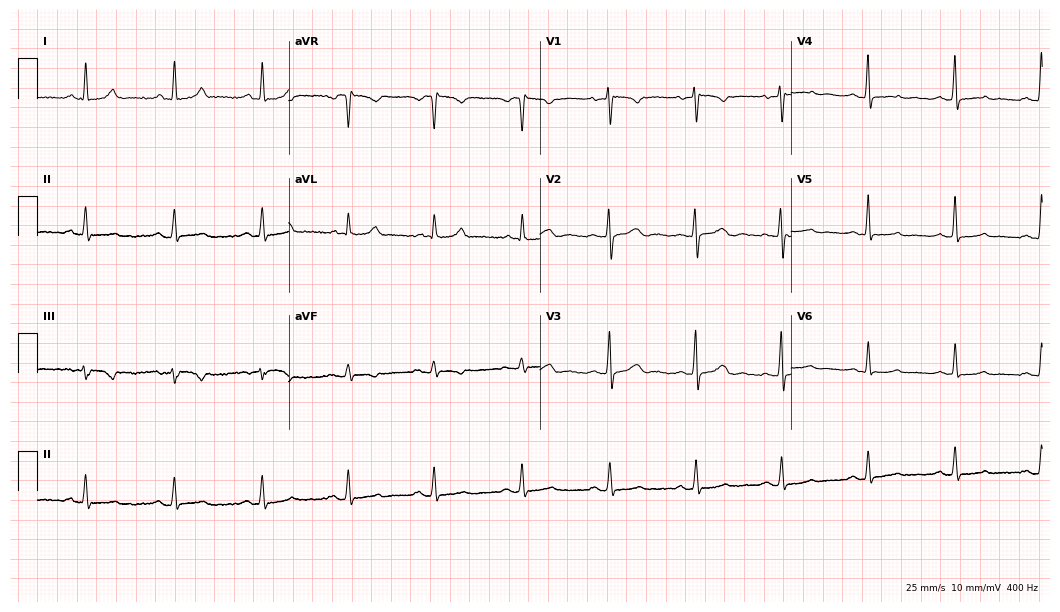
Resting 12-lead electrocardiogram (10.2-second recording at 400 Hz). Patient: a 44-year-old female. Read as a normal ECG.